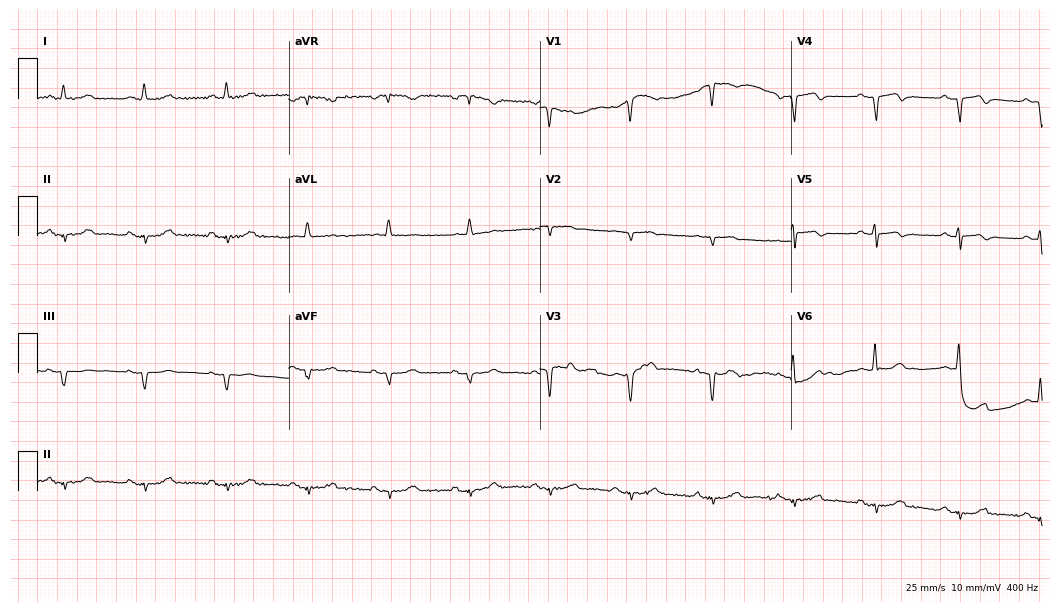
ECG — a 71-year-old man. Screened for six findings — first-degree AV block, right bundle branch block (RBBB), left bundle branch block (LBBB), sinus bradycardia, atrial fibrillation (AF), sinus tachycardia — none is recorded. Other findings, if any, are not listed.